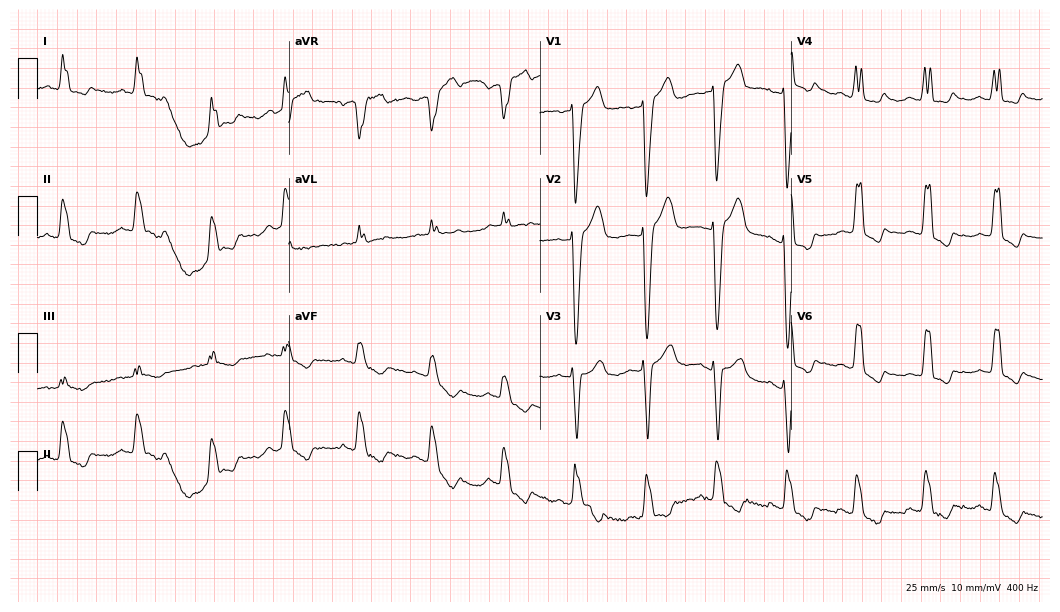
Resting 12-lead electrocardiogram. Patient: a 64-year-old woman. The tracing shows left bundle branch block.